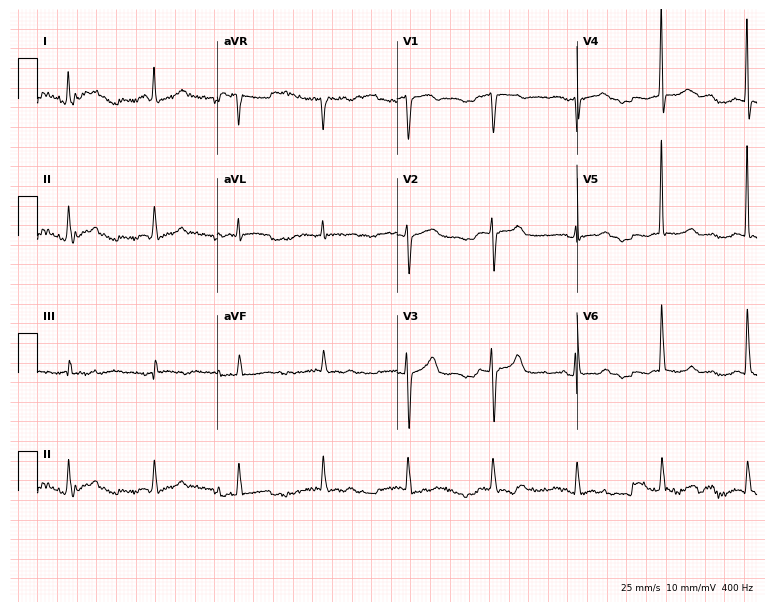
ECG — a male, 78 years old. Screened for six findings — first-degree AV block, right bundle branch block, left bundle branch block, sinus bradycardia, atrial fibrillation, sinus tachycardia — none is recorded. Findings outside these six are not listed.